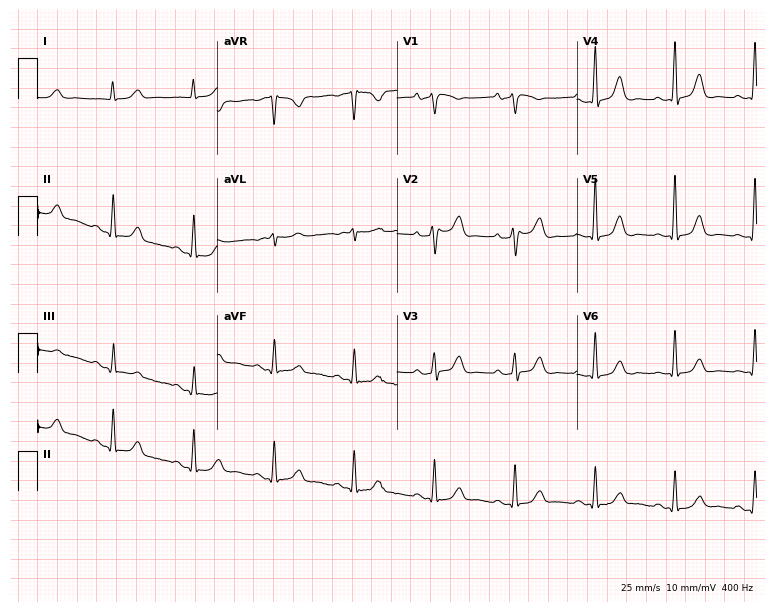
Standard 12-lead ECG recorded from a 73-year-old female (7.3-second recording at 400 Hz). None of these six findings is recorded: first-degree AV block, right bundle branch block (RBBB), left bundle branch block (LBBB), sinus bradycardia, atrial fibrillation (AF), sinus tachycardia.